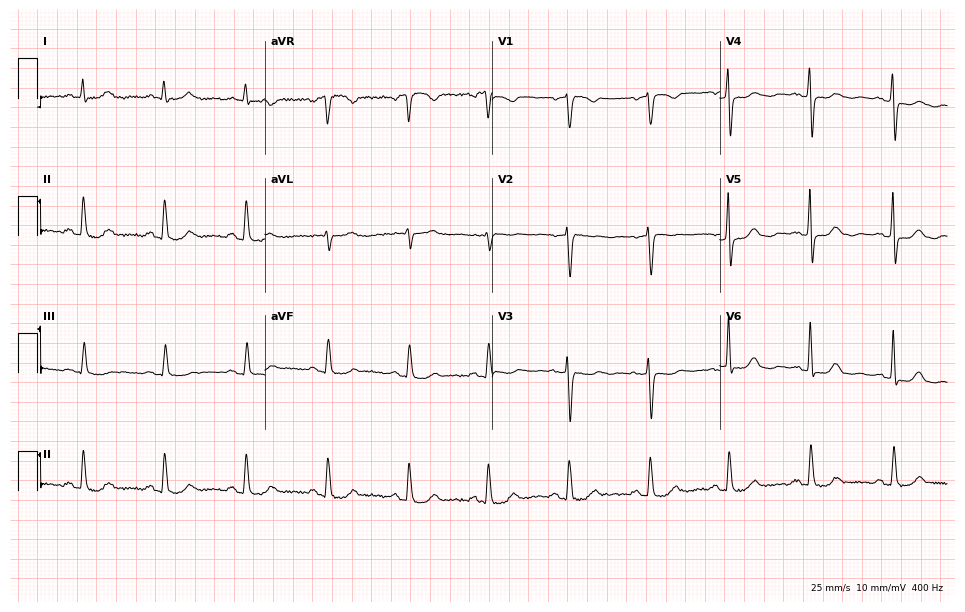
Resting 12-lead electrocardiogram. Patient: a 79-year-old female. Read as a normal ECG.